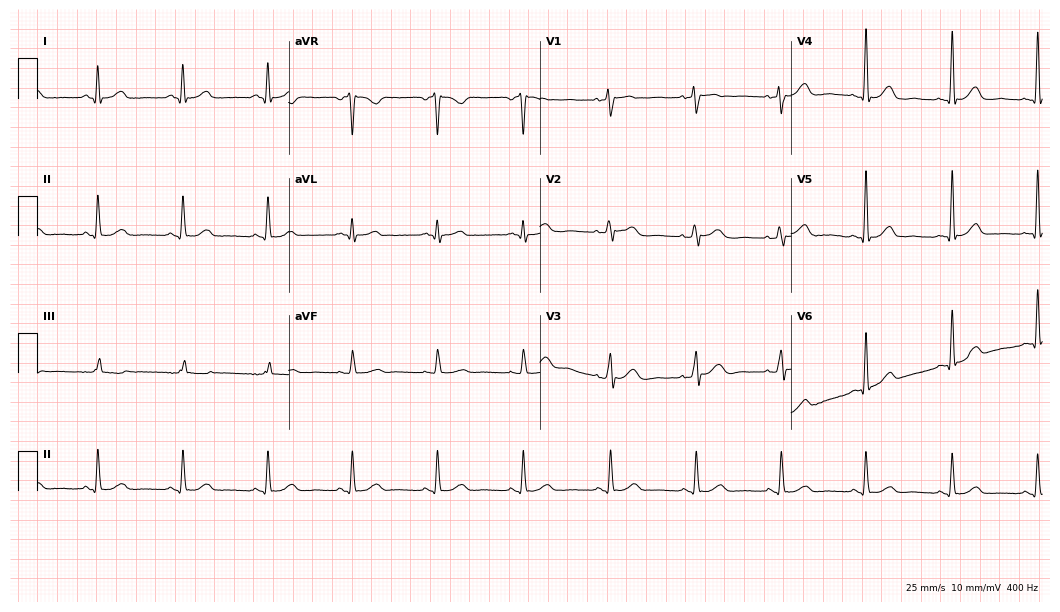
Electrocardiogram (10.2-second recording at 400 Hz), a 41-year-old woman. Overall reading on record: normal ECG.